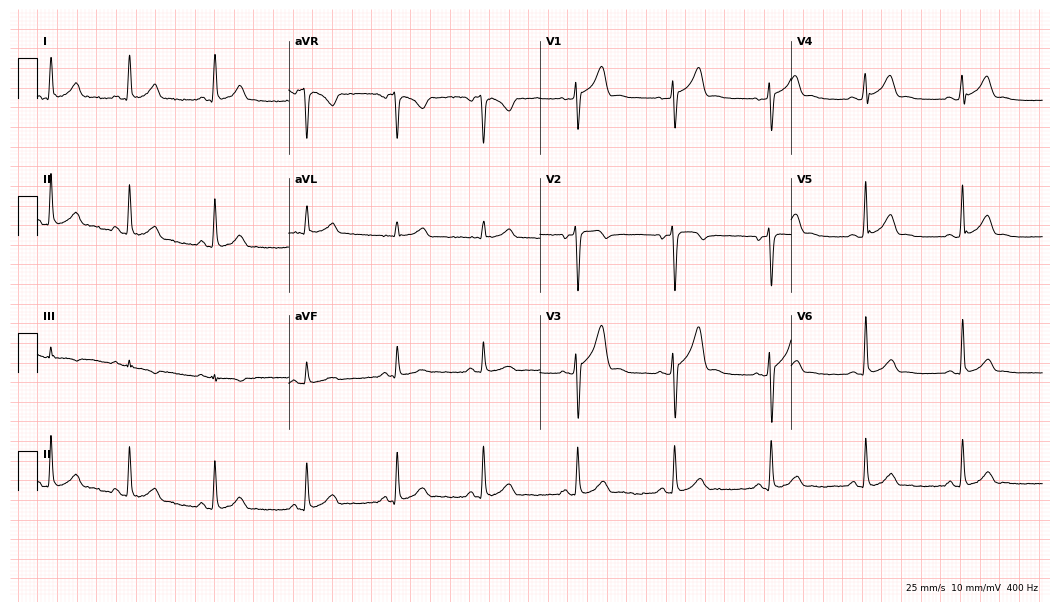
Resting 12-lead electrocardiogram (10.2-second recording at 400 Hz). Patient: a 26-year-old male. None of these six findings is recorded: first-degree AV block, right bundle branch block, left bundle branch block, sinus bradycardia, atrial fibrillation, sinus tachycardia. Findings outside these six are not listed.